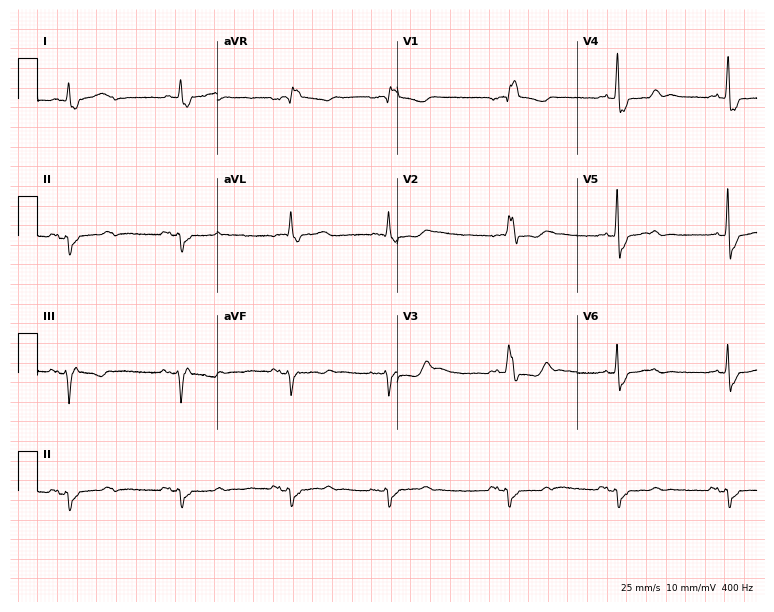
ECG — an 84-year-old male patient. Findings include right bundle branch block.